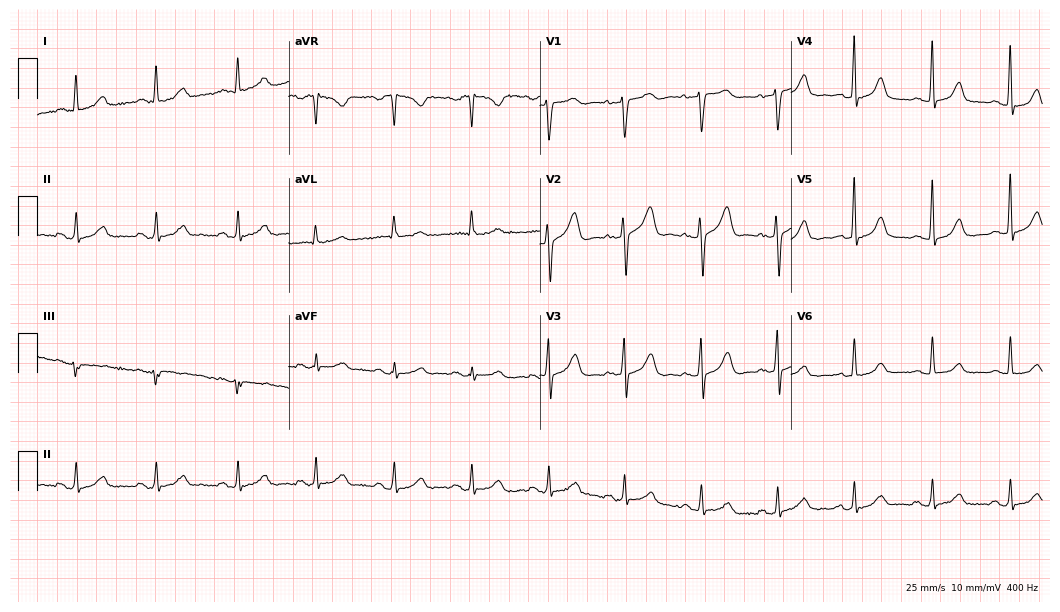
Electrocardiogram (10.2-second recording at 400 Hz), a female patient, 59 years old. Overall reading on record: normal ECG.